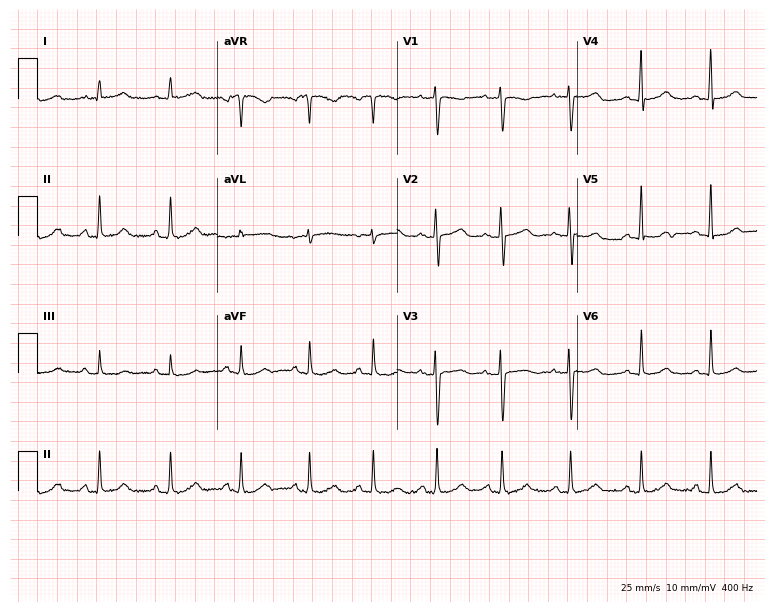
Resting 12-lead electrocardiogram. Patient: a 41-year-old female. Read as a normal ECG.